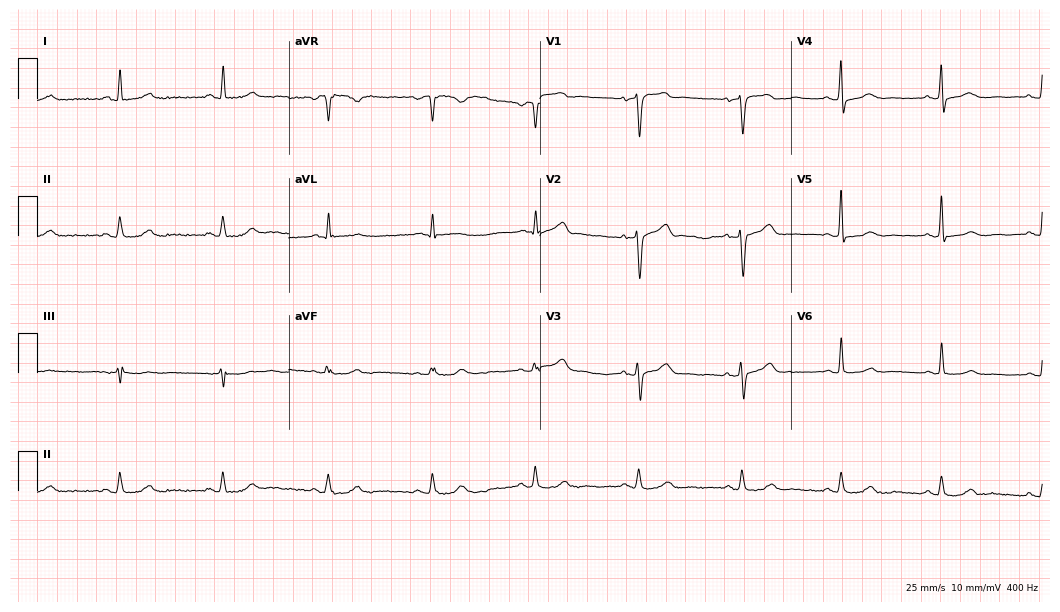
Electrocardiogram, a 57-year-old female patient. Overall reading on record: normal ECG.